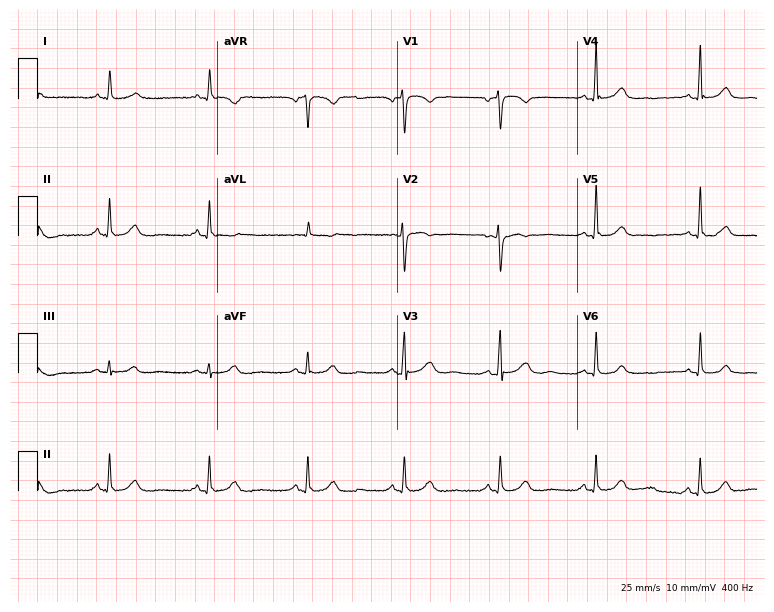
12-lead ECG from a 55-year-old woman (7.3-second recording at 400 Hz). Recorded interpretation: within normal limits.